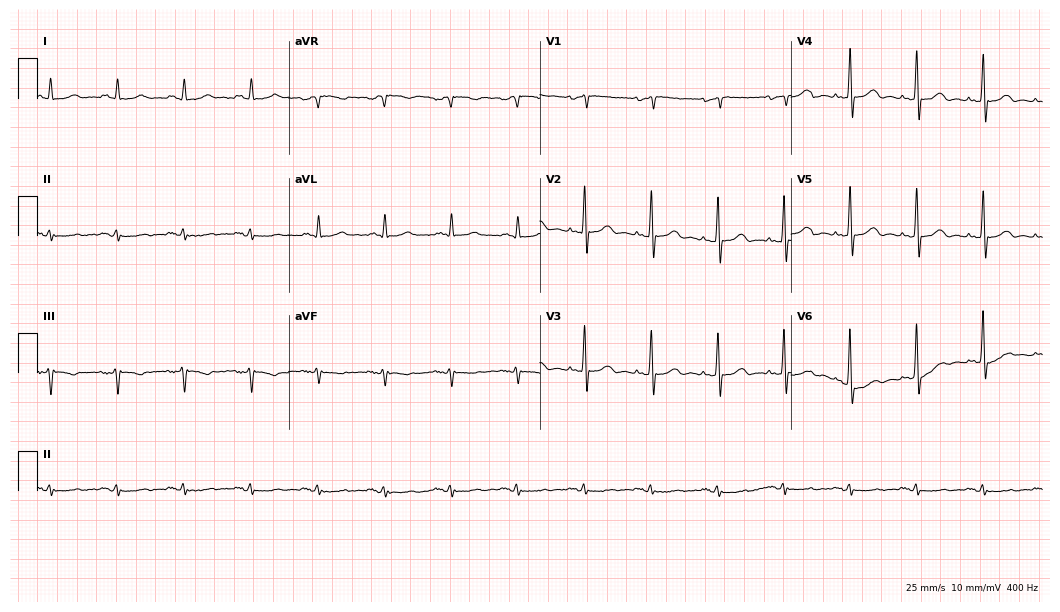
Resting 12-lead electrocardiogram. Patient: a 64-year-old man. None of these six findings is recorded: first-degree AV block, right bundle branch block (RBBB), left bundle branch block (LBBB), sinus bradycardia, atrial fibrillation (AF), sinus tachycardia. Only these six findings were labelled.